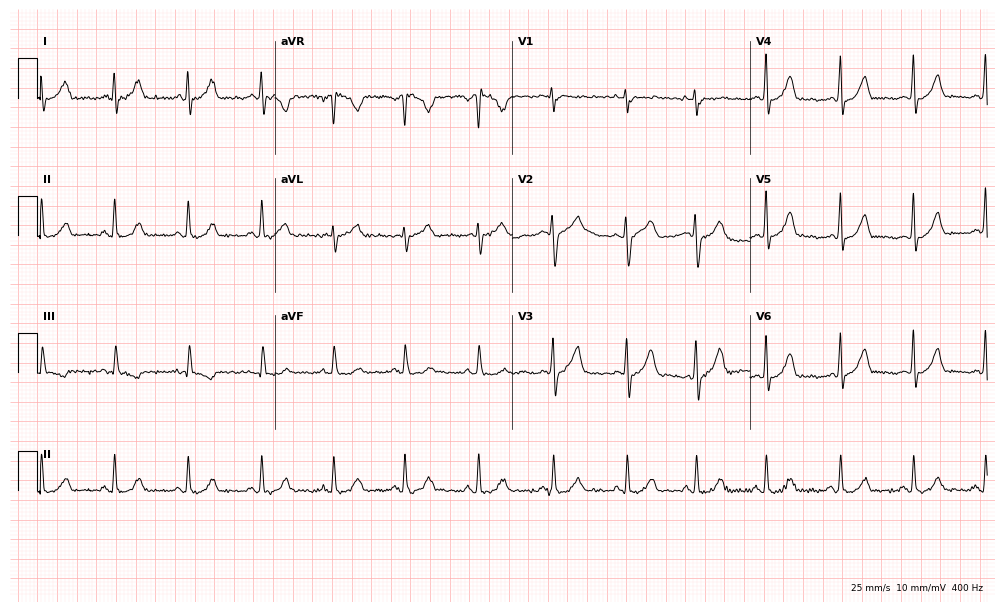
12-lead ECG from a 37-year-old female (9.7-second recording at 400 Hz). Recorded interpretation: within normal limits.